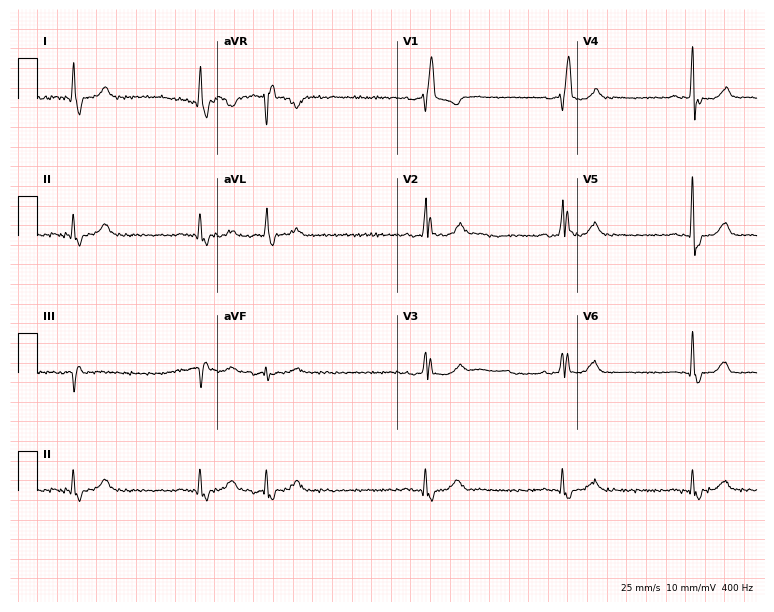
ECG — a male, 78 years old. Findings include right bundle branch block, sinus bradycardia (a sinus rate of 50 beats per minute or less).